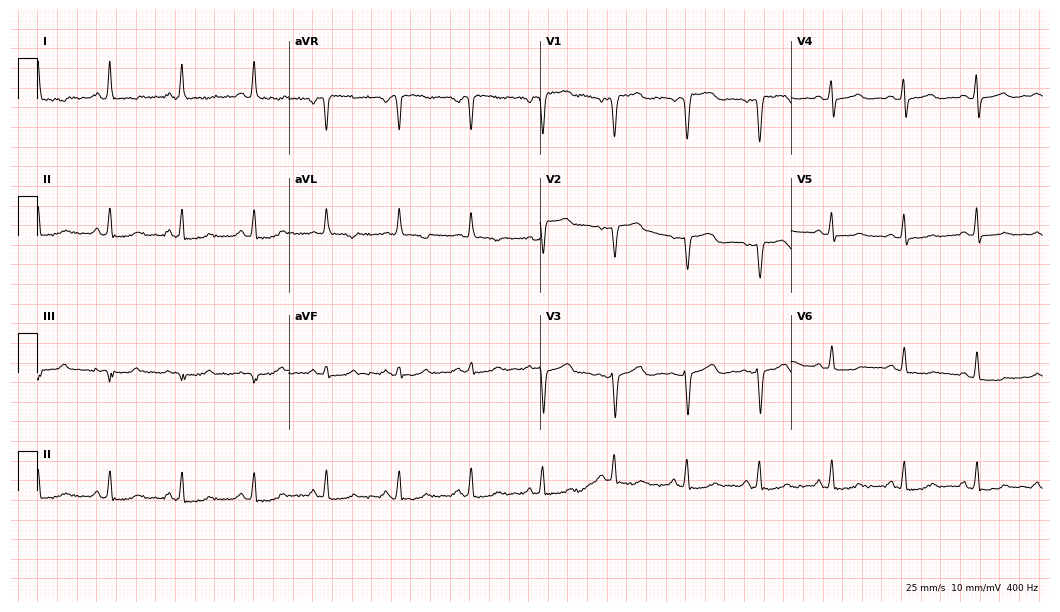
12-lead ECG (10.2-second recording at 400 Hz) from a 59-year-old woman. Screened for six findings — first-degree AV block, right bundle branch block, left bundle branch block, sinus bradycardia, atrial fibrillation, sinus tachycardia — none is recorded.